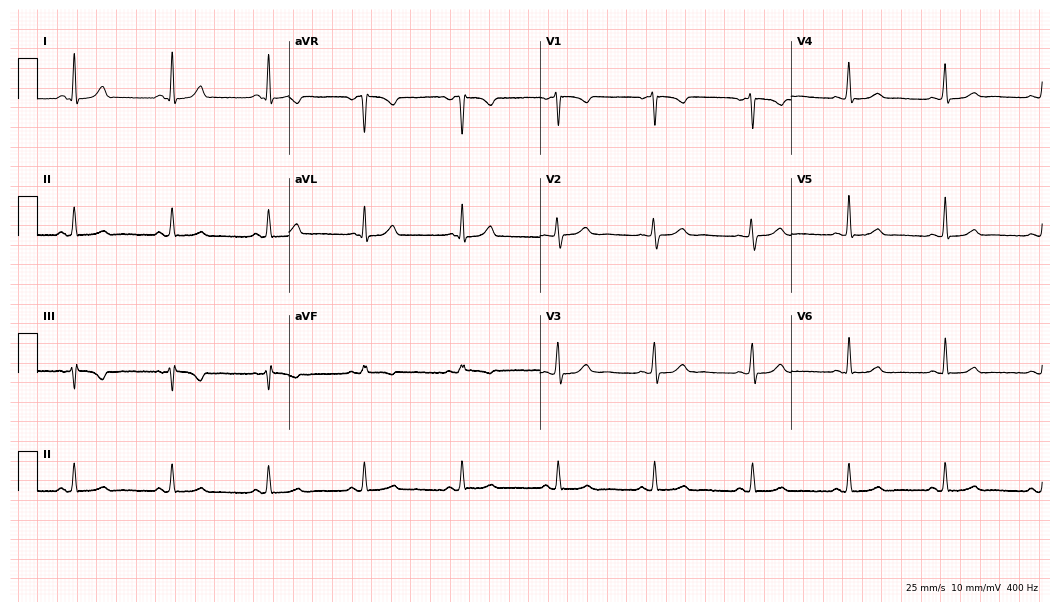
12-lead ECG from a female patient, 35 years old. No first-degree AV block, right bundle branch block (RBBB), left bundle branch block (LBBB), sinus bradycardia, atrial fibrillation (AF) or sinus tachycardia recorded for this tracing.